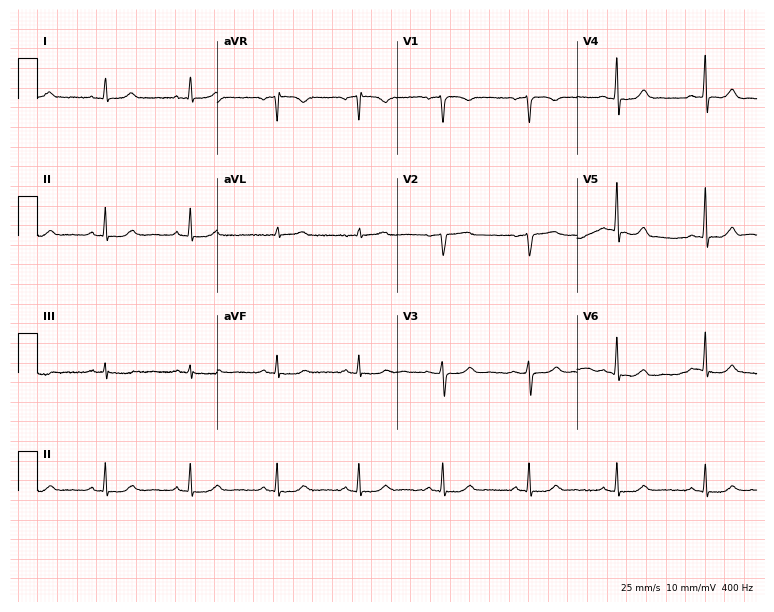
12-lead ECG from a 38-year-old female patient (7.3-second recording at 400 Hz). Recorded interpretation: within normal limits.